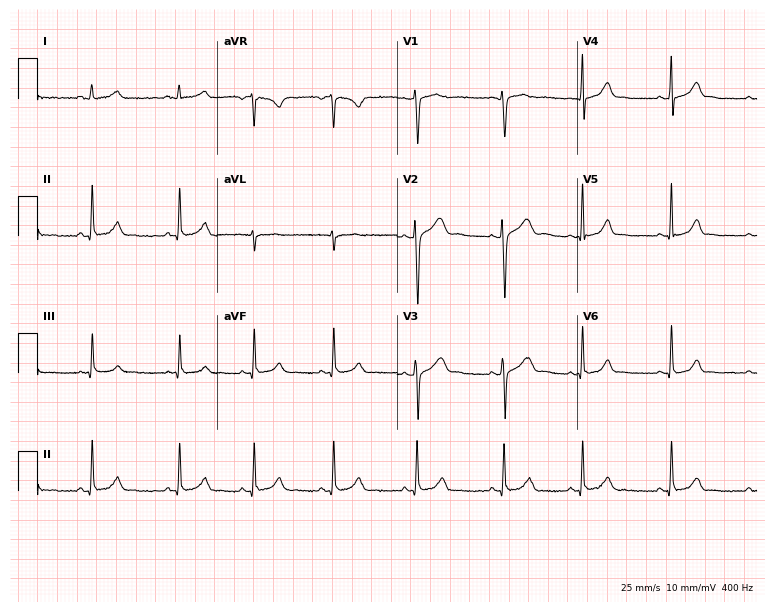
Standard 12-lead ECG recorded from a 17-year-old female (7.3-second recording at 400 Hz). None of these six findings is recorded: first-degree AV block, right bundle branch block, left bundle branch block, sinus bradycardia, atrial fibrillation, sinus tachycardia. Findings outside these six are not listed.